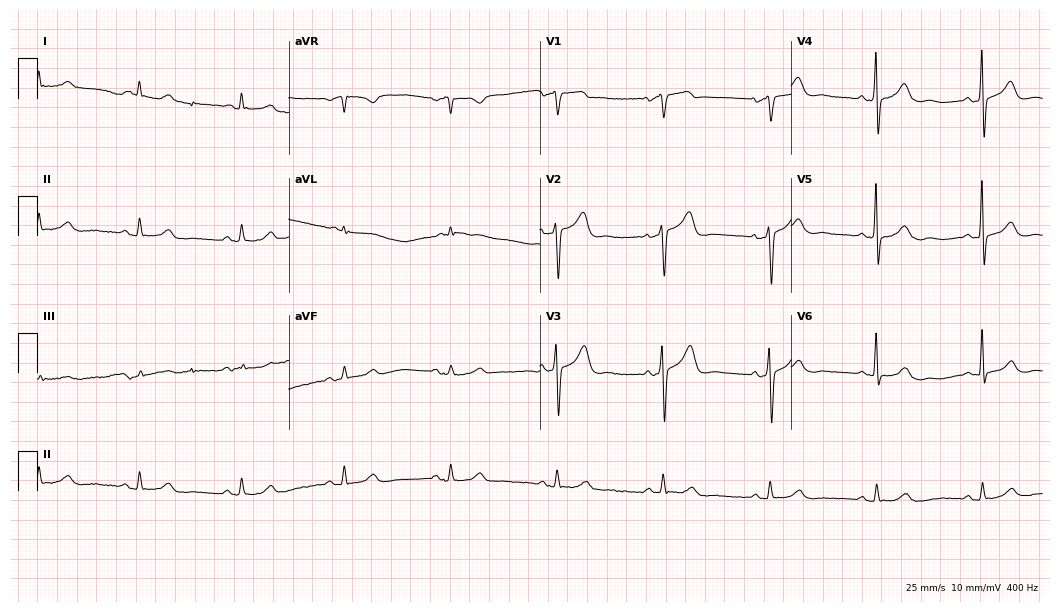
Electrocardiogram, an 83-year-old male patient. Of the six screened findings (first-degree AV block, right bundle branch block, left bundle branch block, sinus bradycardia, atrial fibrillation, sinus tachycardia), none is recorded.